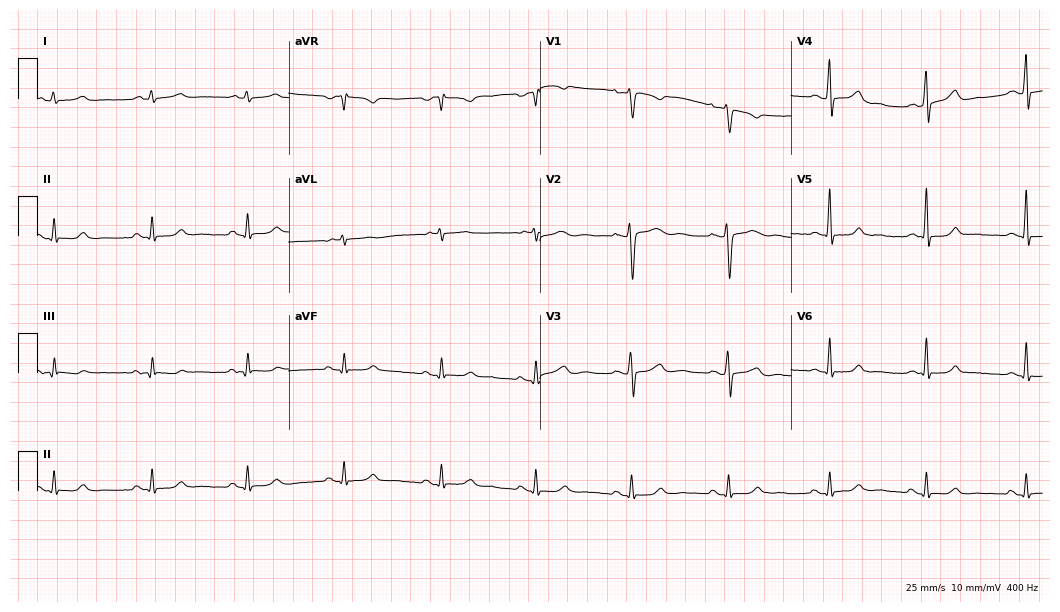
12-lead ECG from a female patient, 45 years old (10.2-second recording at 400 Hz). No first-degree AV block, right bundle branch block (RBBB), left bundle branch block (LBBB), sinus bradycardia, atrial fibrillation (AF) or sinus tachycardia recorded for this tracing. Findings outside these six are not listed.